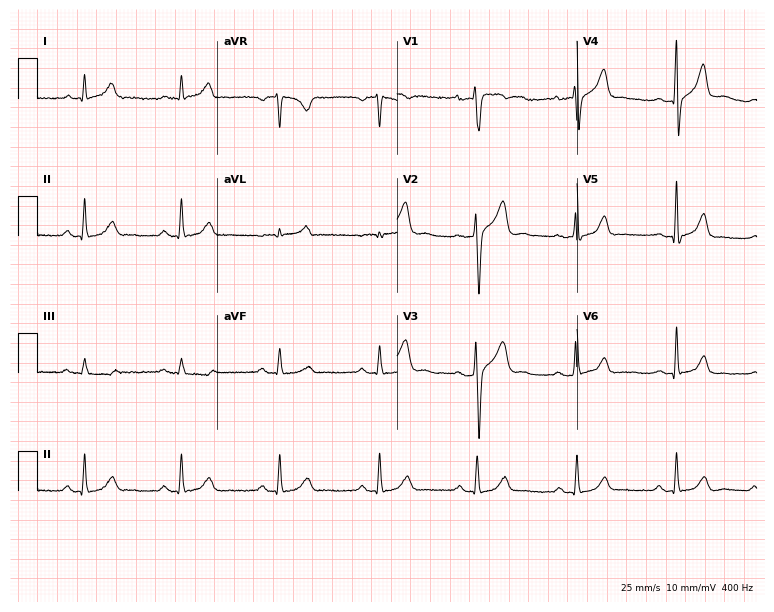
12-lead ECG from a 20-year-old male patient. Recorded interpretation: within normal limits.